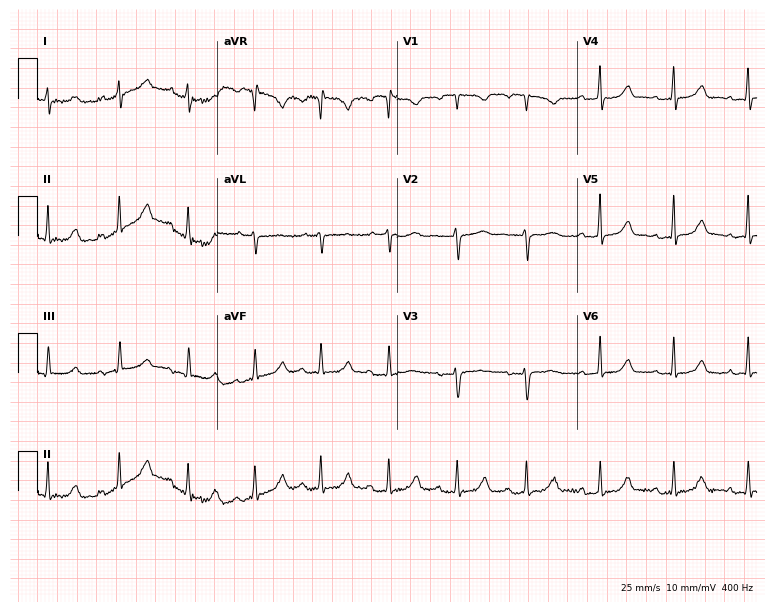
Electrocardiogram, a 27-year-old woman. Overall reading on record: normal ECG.